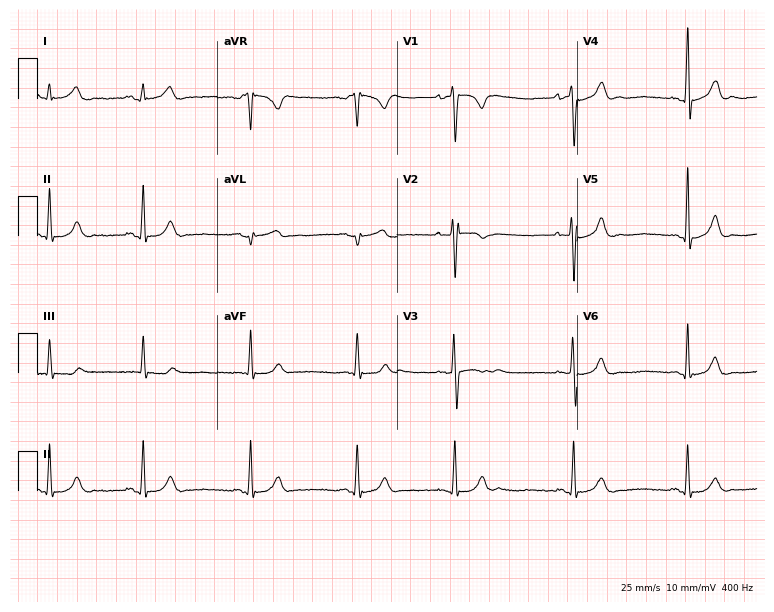
Electrocardiogram (7.3-second recording at 400 Hz), a man, 22 years old. Overall reading on record: normal ECG.